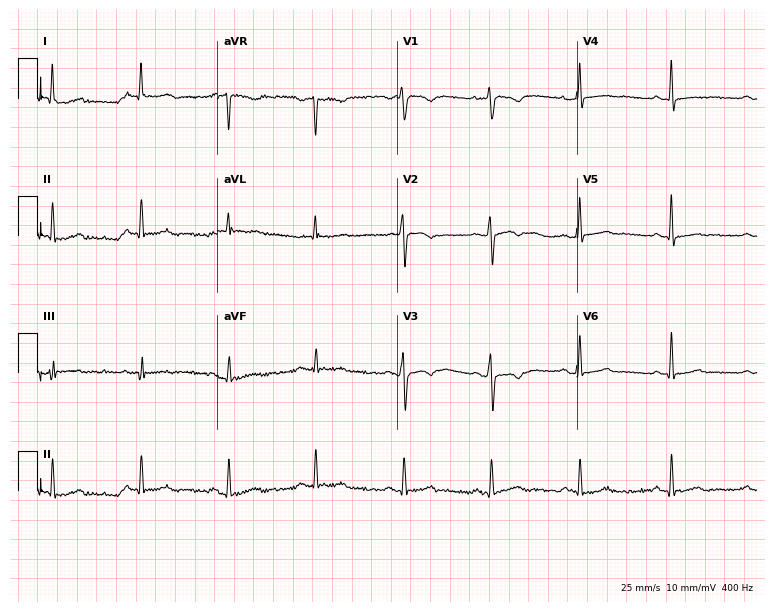
Electrocardiogram (7.3-second recording at 400 Hz), a woman, 32 years old. Of the six screened findings (first-degree AV block, right bundle branch block (RBBB), left bundle branch block (LBBB), sinus bradycardia, atrial fibrillation (AF), sinus tachycardia), none is recorded.